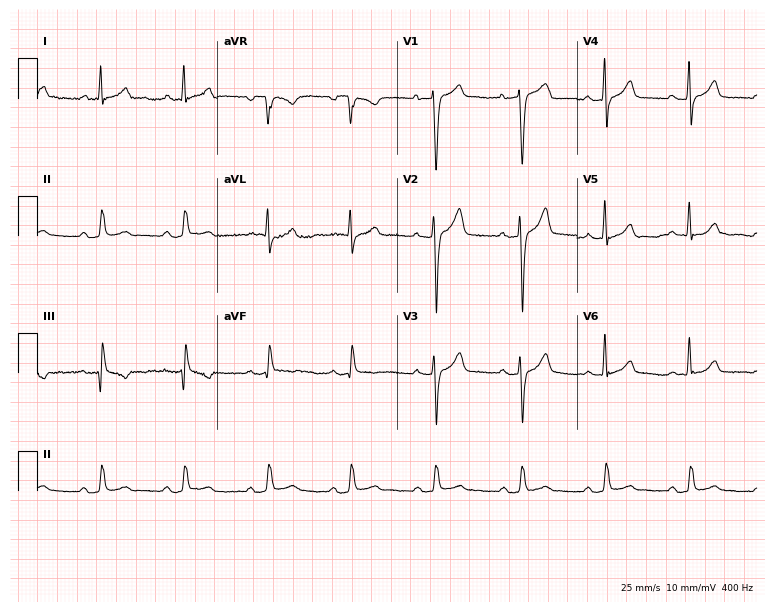
Standard 12-lead ECG recorded from a male, 64 years old. Read as a normal ECG.